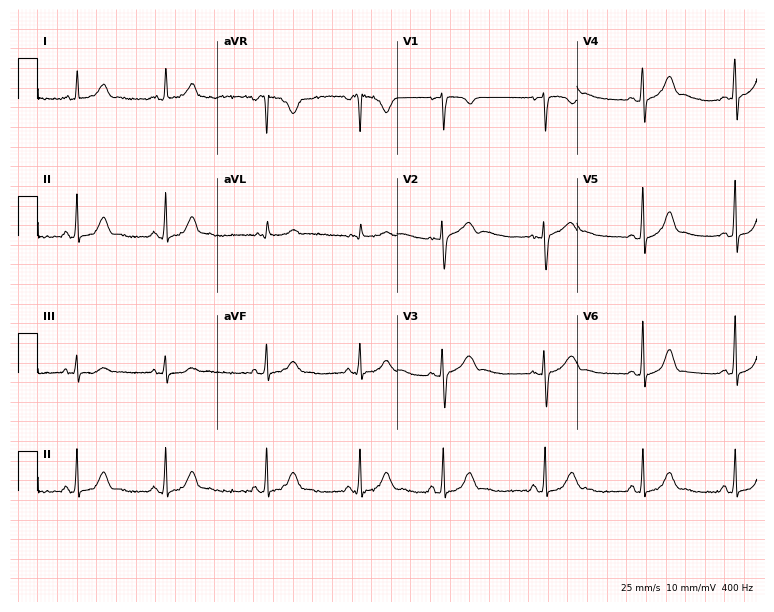
Standard 12-lead ECG recorded from a woman, 22 years old. None of these six findings is recorded: first-degree AV block, right bundle branch block (RBBB), left bundle branch block (LBBB), sinus bradycardia, atrial fibrillation (AF), sinus tachycardia.